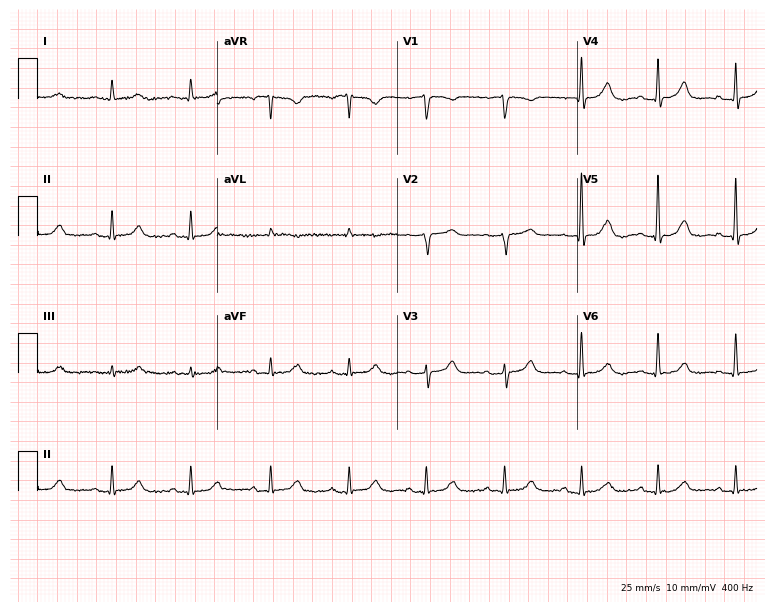
ECG (7.3-second recording at 400 Hz) — a female, 80 years old. Screened for six findings — first-degree AV block, right bundle branch block (RBBB), left bundle branch block (LBBB), sinus bradycardia, atrial fibrillation (AF), sinus tachycardia — none is recorded.